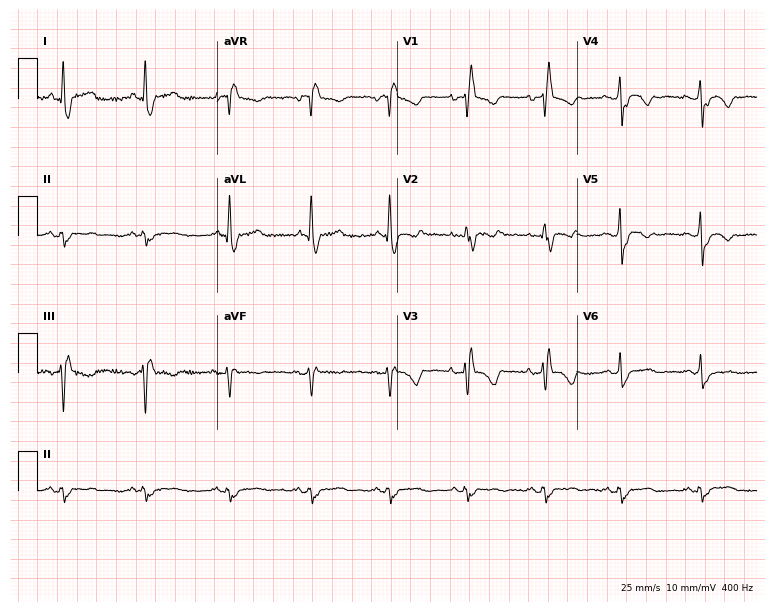
12-lead ECG from a 54-year-old female. Findings include right bundle branch block (RBBB).